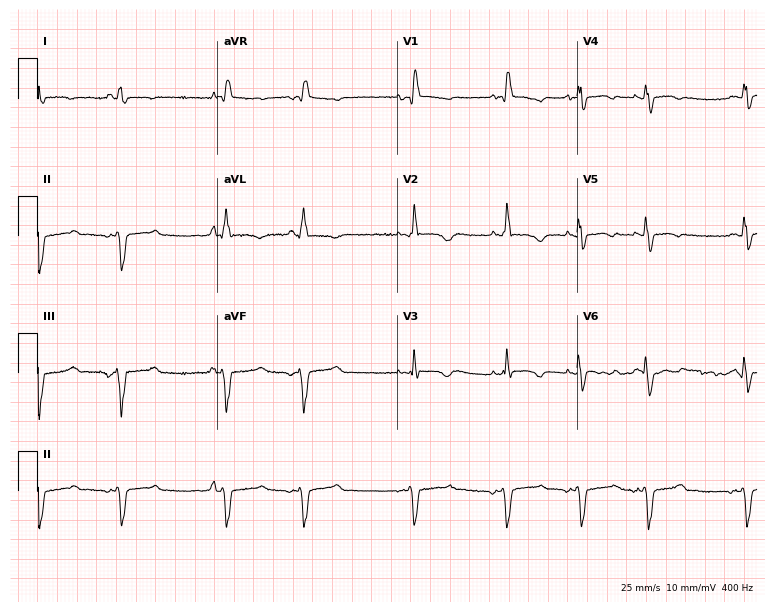
12-lead ECG from a 42-year-old woman. Shows right bundle branch block.